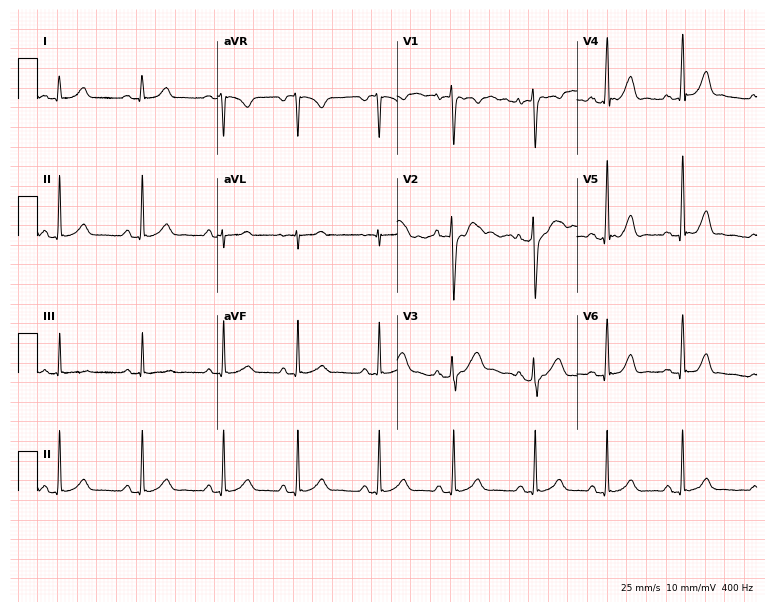
Resting 12-lead electrocardiogram (7.3-second recording at 400 Hz). Patient: a female, 32 years old. None of these six findings is recorded: first-degree AV block, right bundle branch block (RBBB), left bundle branch block (LBBB), sinus bradycardia, atrial fibrillation (AF), sinus tachycardia.